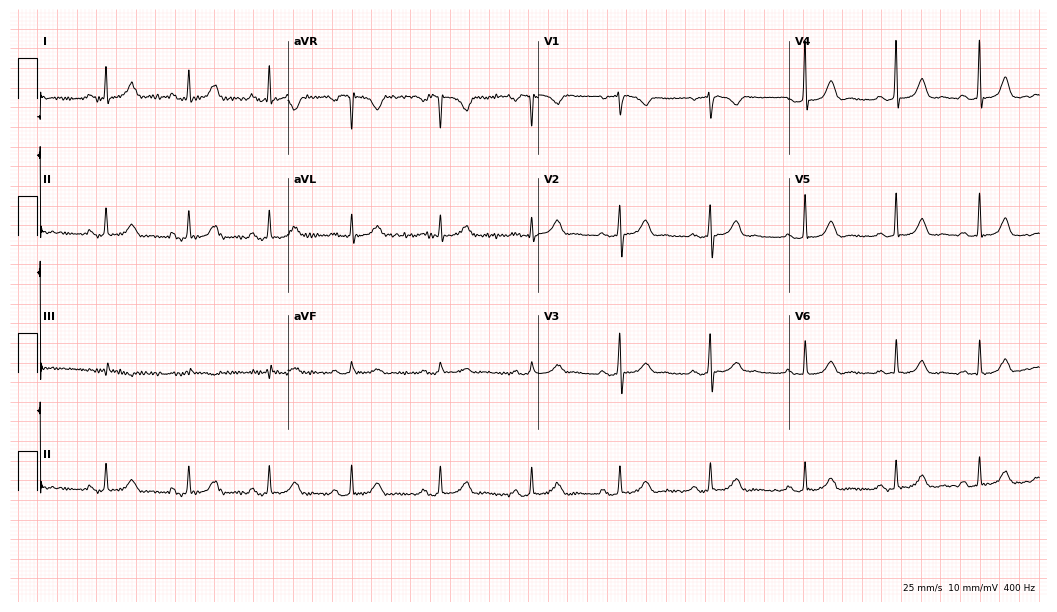
12-lead ECG (10.2-second recording at 400 Hz) from a 30-year-old female patient. Labelled as a normal ECG.